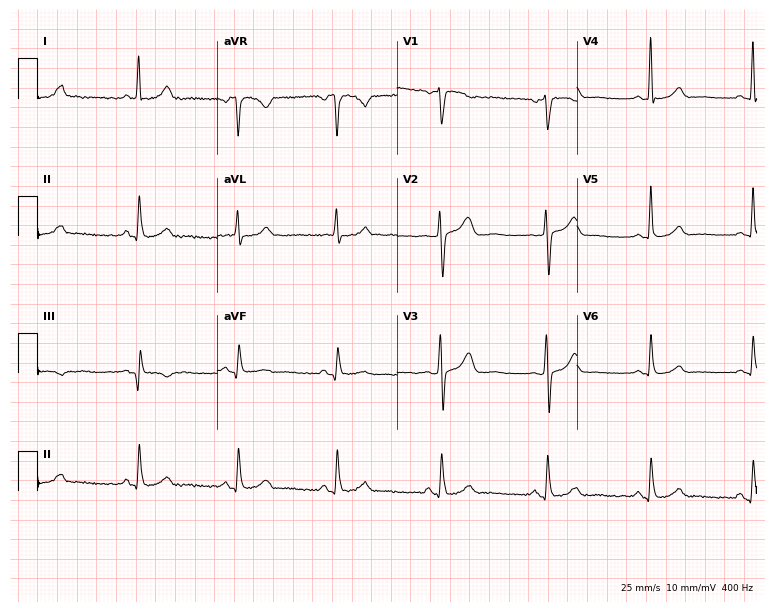
Standard 12-lead ECG recorded from a 57-year-old female patient. None of these six findings is recorded: first-degree AV block, right bundle branch block (RBBB), left bundle branch block (LBBB), sinus bradycardia, atrial fibrillation (AF), sinus tachycardia.